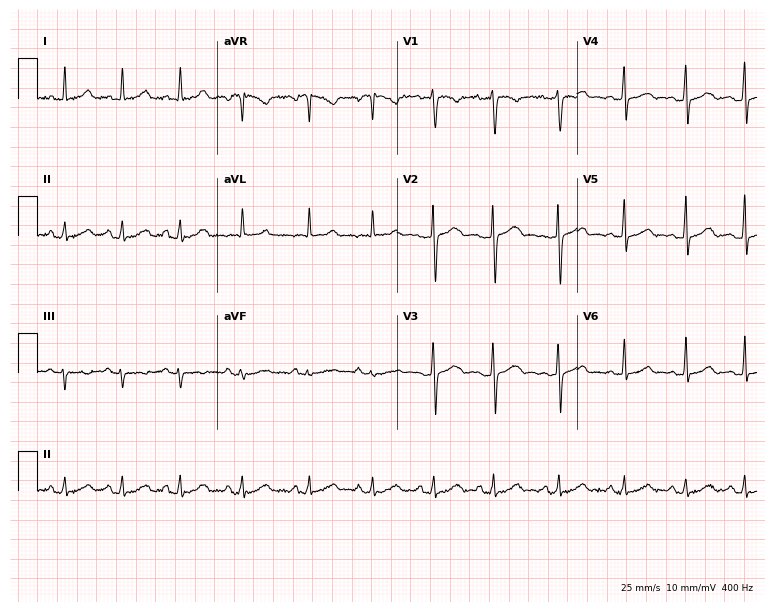
Electrocardiogram, a female, 36 years old. Overall reading on record: normal ECG.